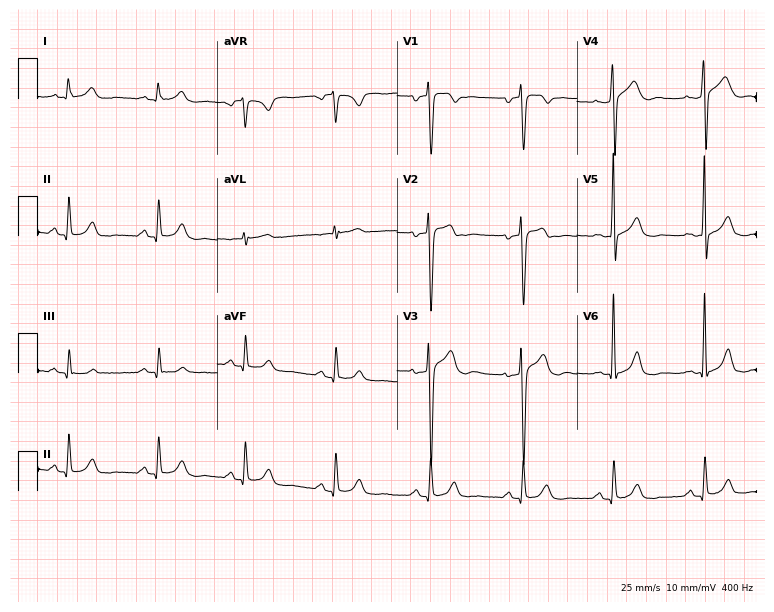
ECG (7.3-second recording at 400 Hz) — a male patient, 30 years old. Screened for six findings — first-degree AV block, right bundle branch block, left bundle branch block, sinus bradycardia, atrial fibrillation, sinus tachycardia — none is recorded. Only these six findings were labelled.